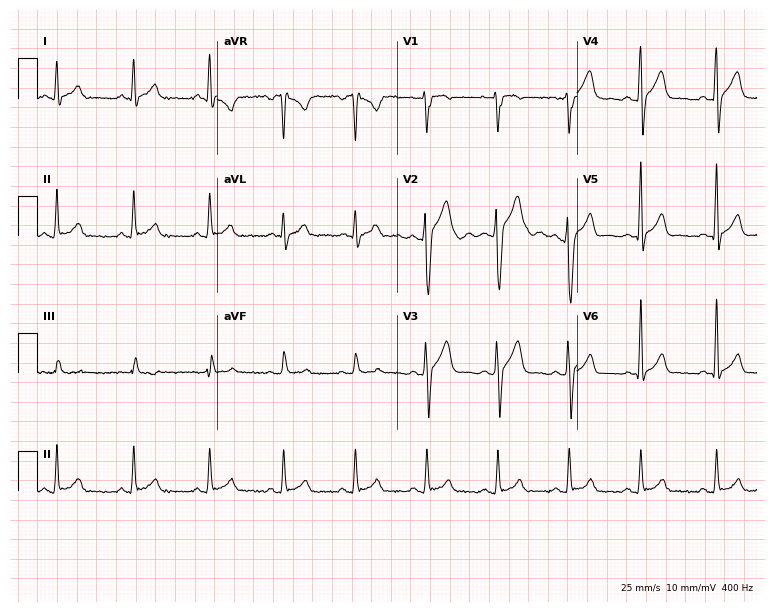
Resting 12-lead electrocardiogram. Patient: a 31-year-old man. None of these six findings is recorded: first-degree AV block, right bundle branch block, left bundle branch block, sinus bradycardia, atrial fibrillation, sinus tachycardia. Findings outside these six are not listed.